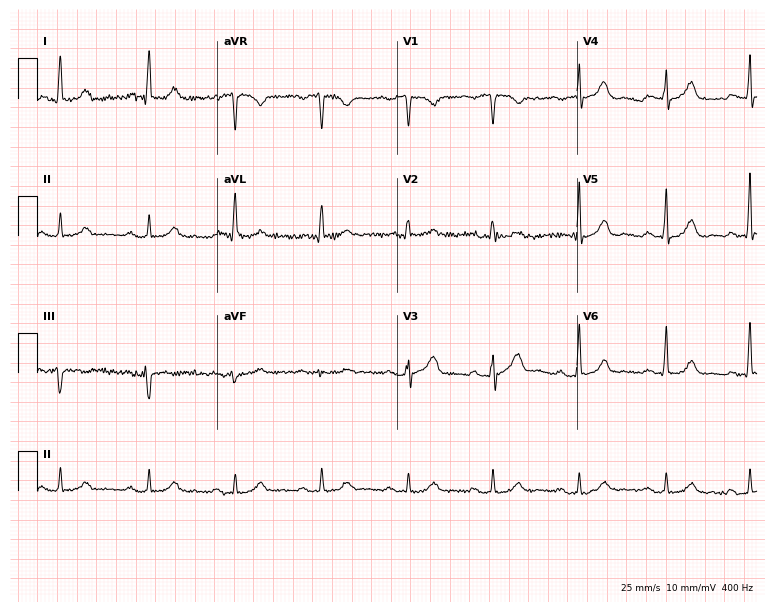
ECG (7.3-second recording at 400 Hz) — a 60-year-old male. Labelled as a normal ECG.